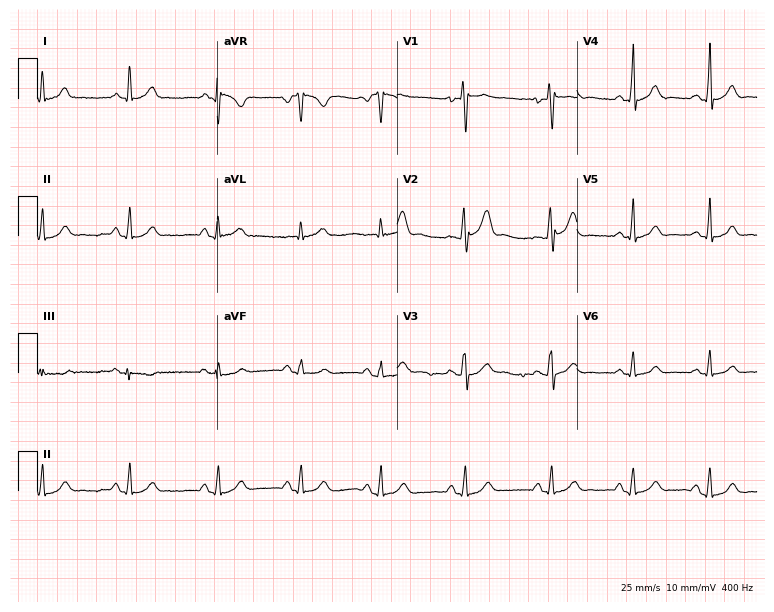
Standard 12-lead ECG recorded from a 33-year-old male (7.3-second recording at 400 Hz). None of these six findings is recorded: first-degree AV block, right bundle branch block, left bundle branch block, sinus bradycardia, atrial fibrillation, sinus tachycardia.